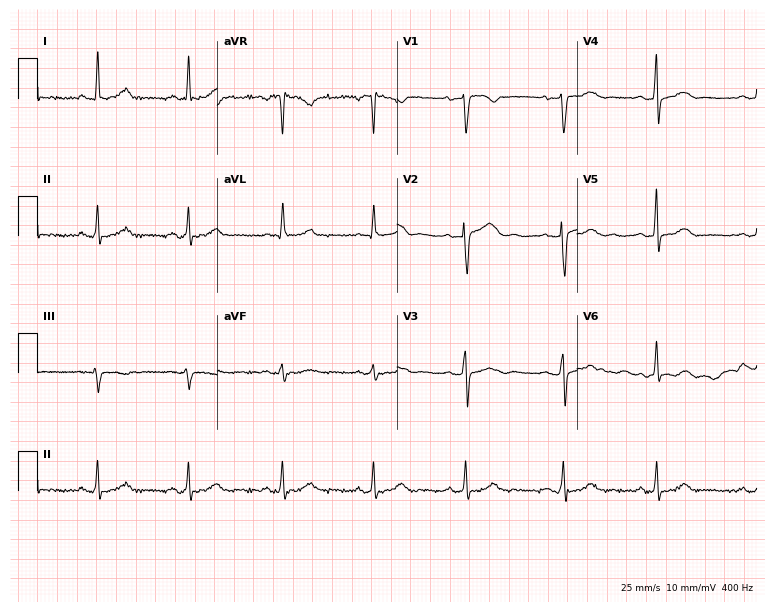
Electrocardiogram (7.3-second recording at 400 Hz), a female patient, 42 years old. Of the six screened findings (first-degree AV block, right bundle branch block (RBBB), left bundle branch block (LBBB), sinus bradycardia, atrial fibrillation (AF), sinus tachycardia), none is recorded.